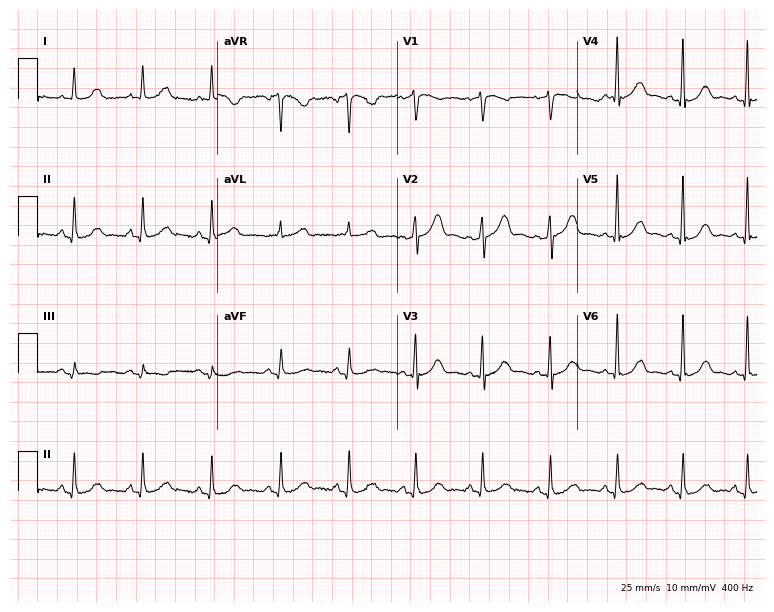
Electrocardiogram (7.3-second recording at 400 Hz), a woman, 67 years old. Of the six screened findings (first-degree AV block, right bundle branch block, left bundle branch block, sinus bradycardia, atrial fibrillation, sinus tachycardia), none is recorded.